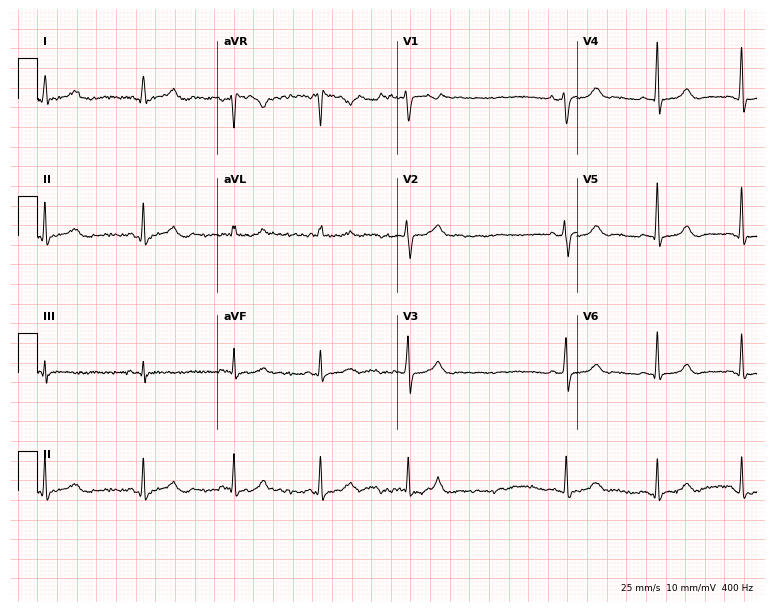
Electrocardiogram, a 51-year-old woman. Overall reading on record: normal ECG.